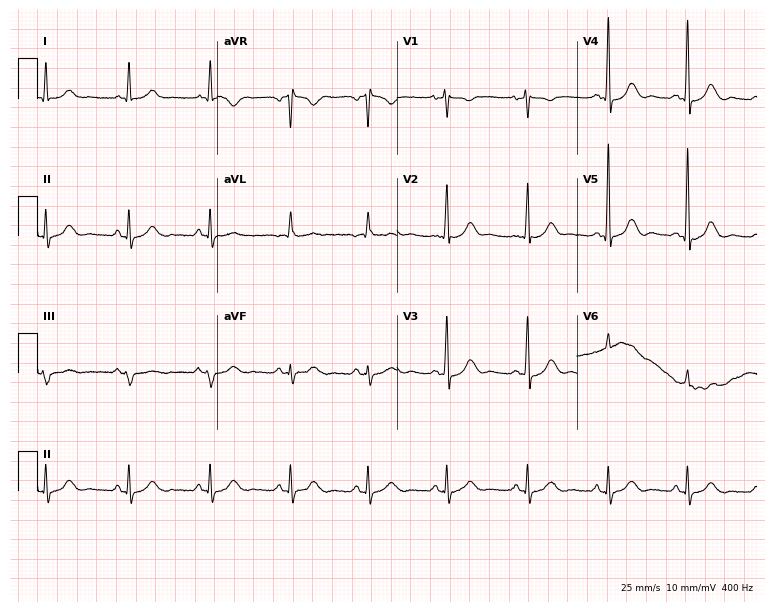
12-lead ECG from a male patient, 66 years old. Recorded interpretation: within normal limits.